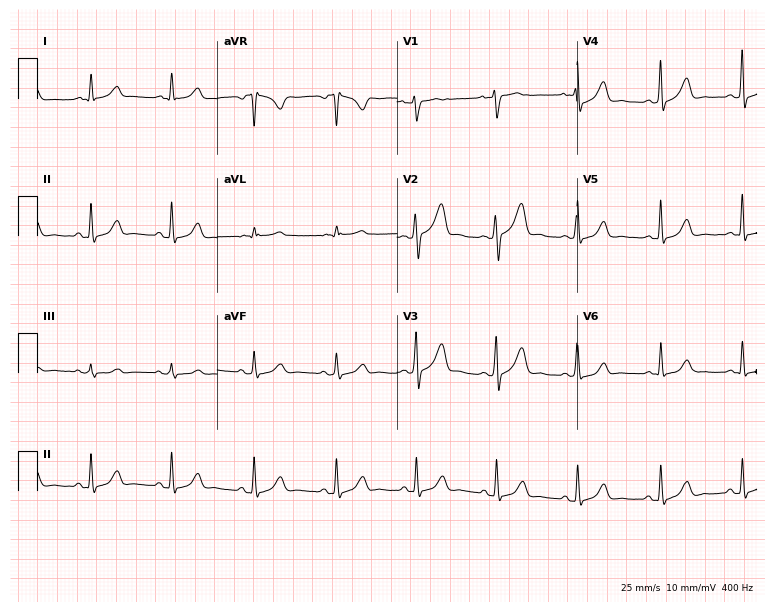
ECG (7.3-second recording at 400 Hz) — a 41-year-old female. Screened for six findings — first-degree AV block, right bundle branch block, left bundle branch block, sinus bradycardia, atrial fibrillation, sinus tachycardia — none is recorded.